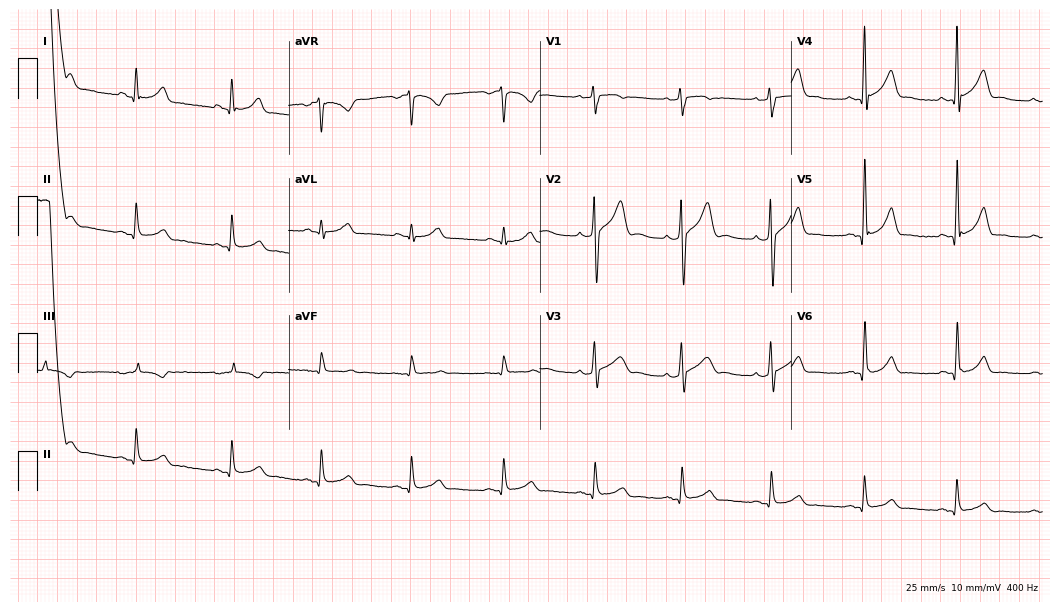
ECG — a male, 39 years old. Screened for six findings — first-degree AV block, right bundle branch block, left bundle branch block, sinus bradycardia, atrial fibrillation, sinus tachycardia — none is recorded.